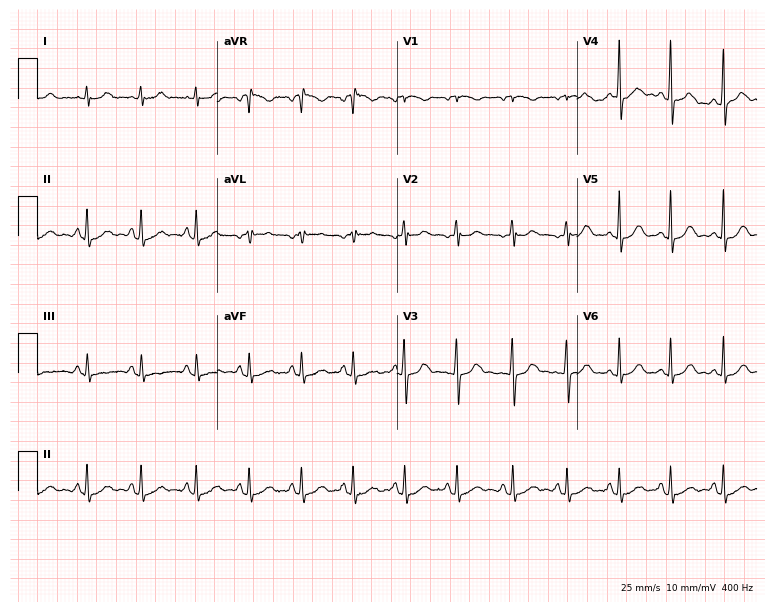
Standard 12-lead ECG recorded from a 19-year-old female. The tracing shows sinus tachycardia (a sinus rate of 100 beats per minute or more).